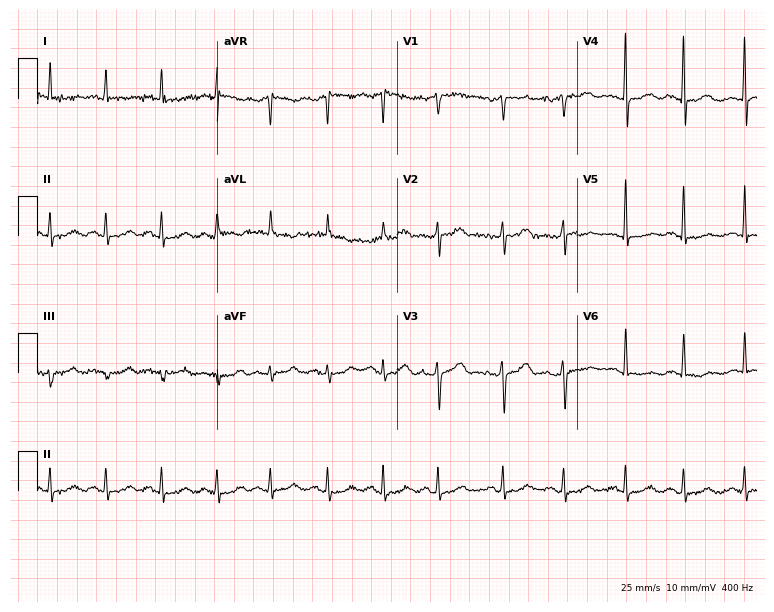
Resting 12-lead electrocardiogram (7.3-second recording at 400 Hz). Patient: a 64-year-old female. The tracing shows sinus tachycardia (a sinus rate of 100 beats per minute or more).